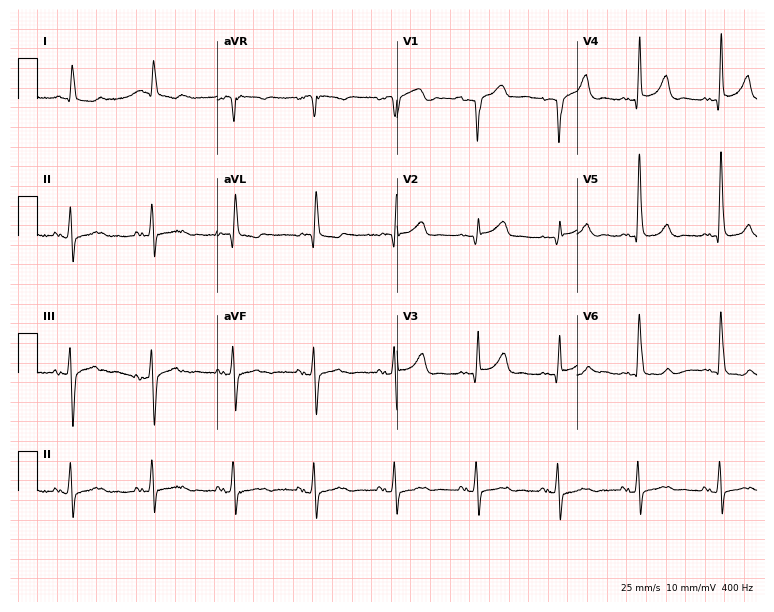
ECG (7.3-second recording at 400 Hz) — a 78-year-old male patient. Screened for six findings — first-degree AV block, right bundle branch block, left bundle branch block, sinus bradycardia, atrial fibrillation, sinus tachycardia — none is recorded.